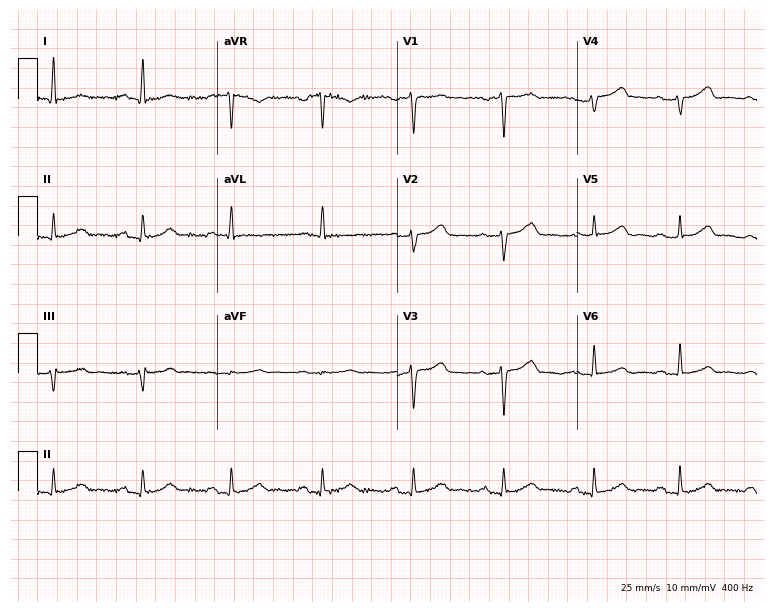
Electrocardiogram, a 54-year-old woman. Overall reading on record: normal ECG.